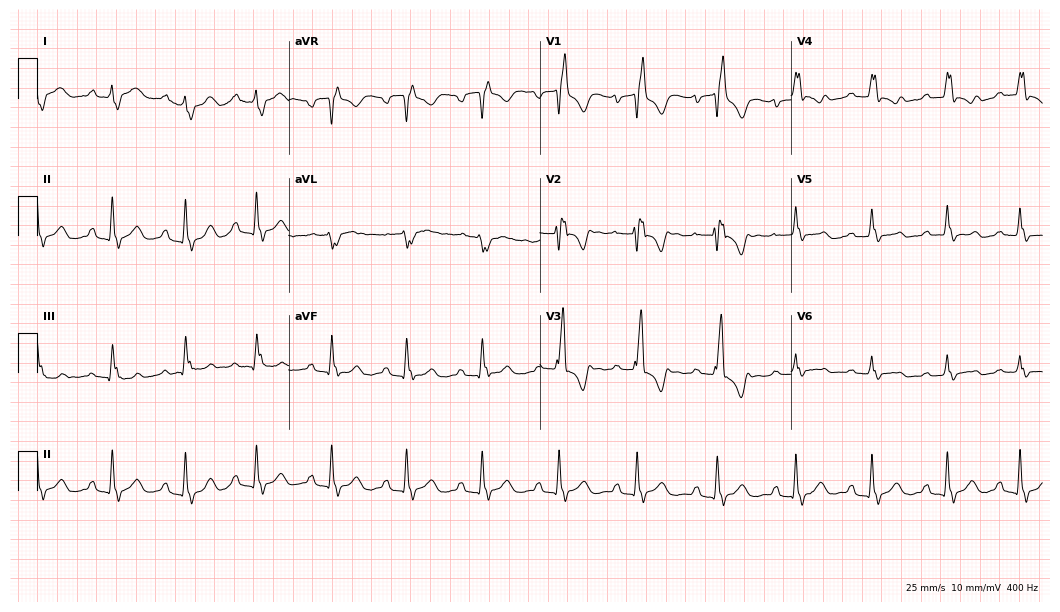
Standard 12-lead ECG recorded from a 23-year-old woman. The tracing shows right bundle branch block.